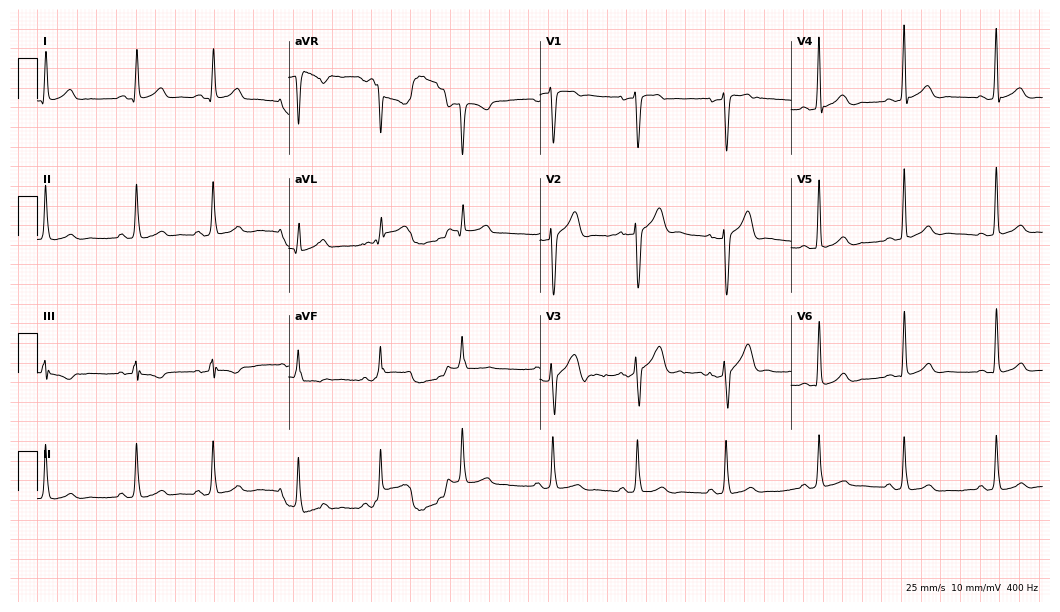
Resting 12-lead electrocardiogram. Patient: a male, 31 years old. None of these six findings is recorded: first-degree AV block, right bundle branch block, left bundle branch block, sinus bradycardia, atrial fibrillation, sinus tachycardia. Other findings, if any, are not listed.